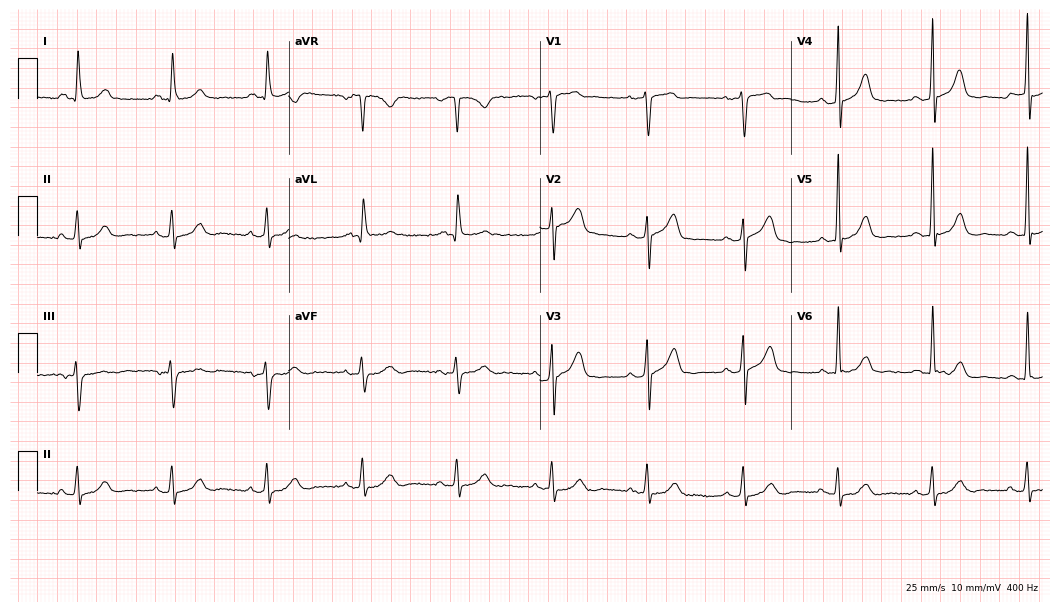
12-lead ECG from a 71-year-old man. Labelled as a normal ECG.